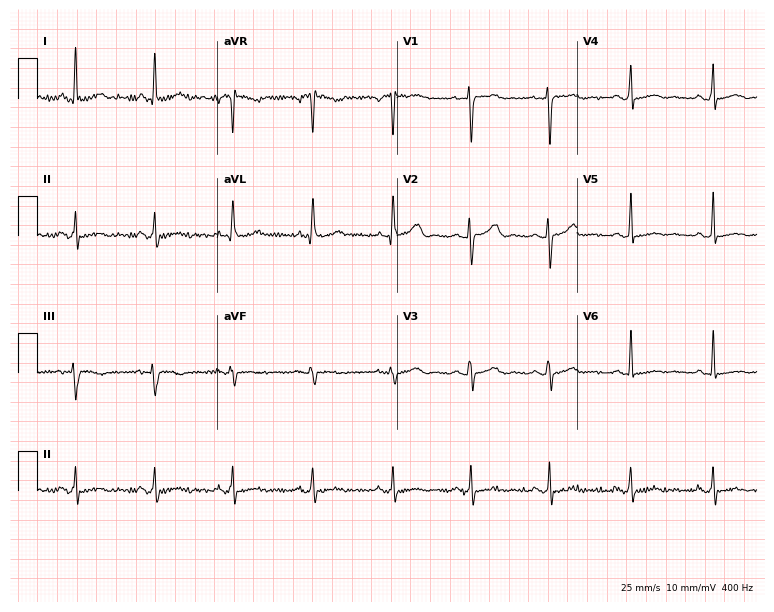
ECG (7.3-second recording at 400 Hz) — a woman, 35 years old. Screened for six findings — first-degree AV block, right bundle branch block, left bundle branch block, sinus bradycardia, atrial fibrillation, sinus tachycardia — none is recorded. Only these six findings were labelled.